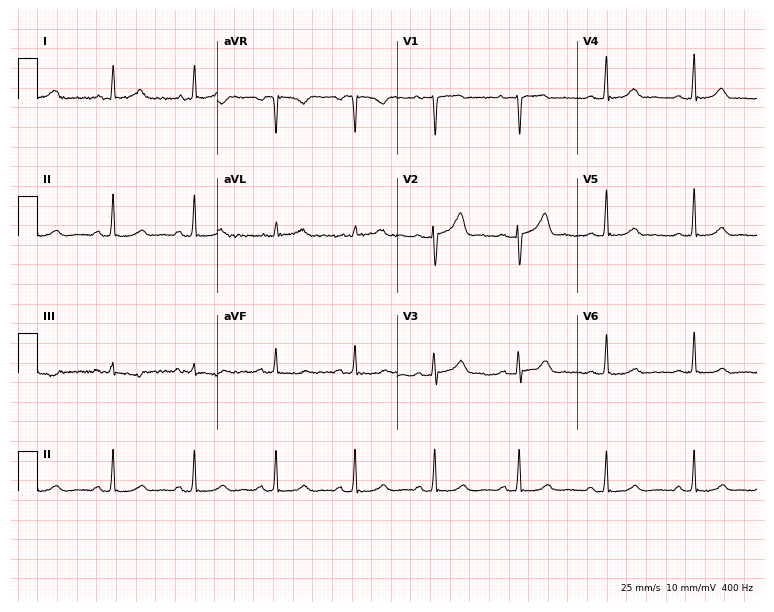
ECG — a 40-year-old woman. Labelled as a normal ECG.